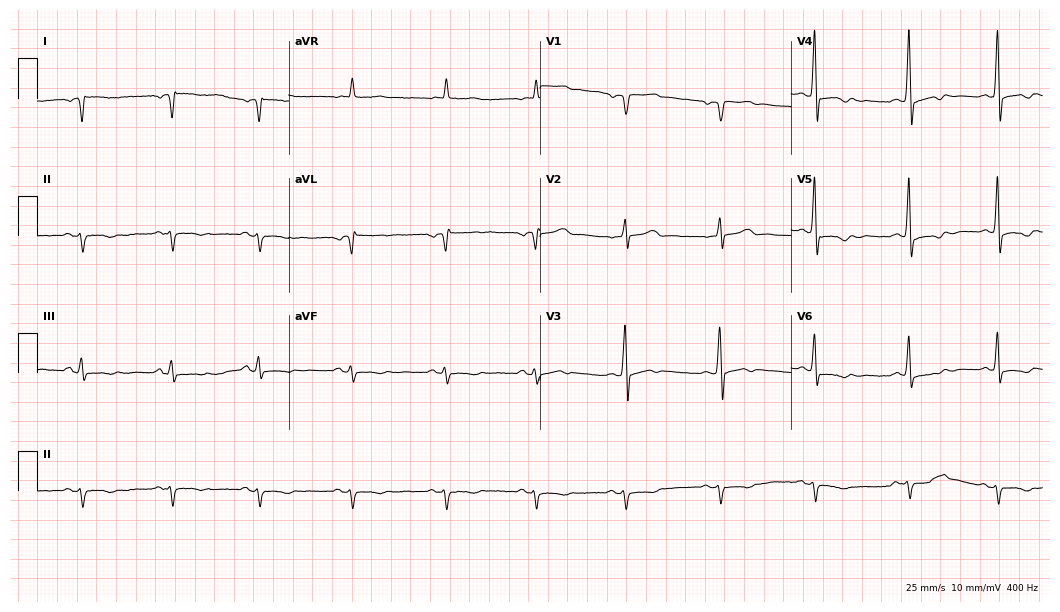
12-lead ECG from a man, 81 years old (10.2-second recording at 400 Hz). No first-degree AV block, right bundle branch block, left bundle branch block, sinus bradycardia, atrial fibrillation or sinus tachycardia recorded for this tracing.